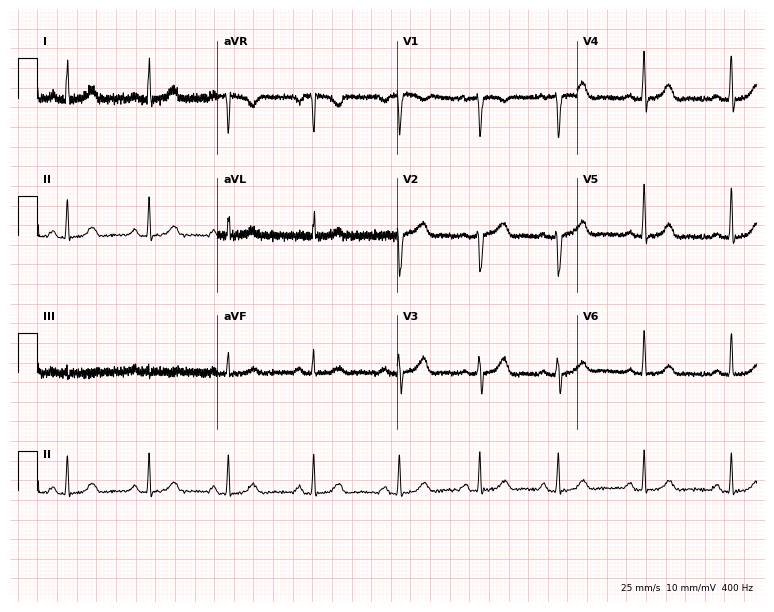
12-lead ECG from a woman, 44 years old. Screened for six findings — first-degree AV block, right bundle branch block, left bundle branch block, sinus bradycardia, atrial fibrillation, sinus tachycardia — none is recorded.